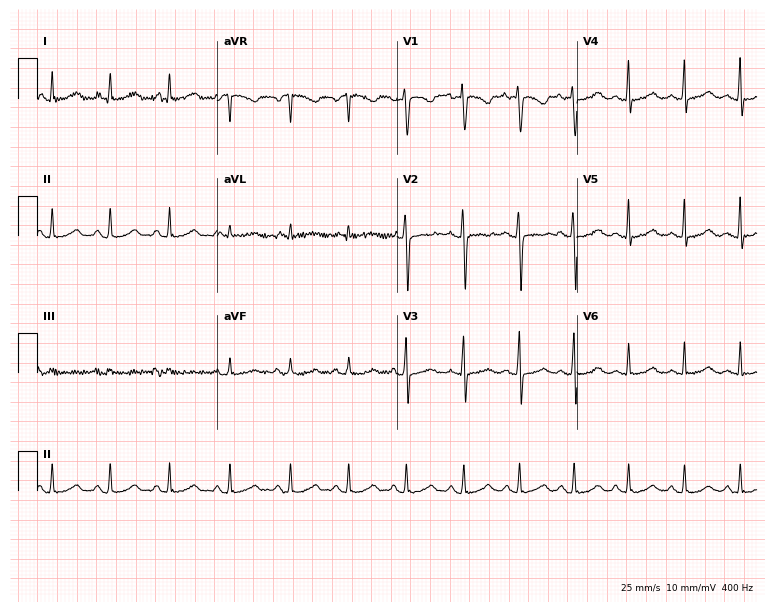
12-lead ECG from a 24-year-old woman (7.3-second recording at 400 Hz). Shows sinus tachycardia (a sinus rate of 100 beats per minute or more).